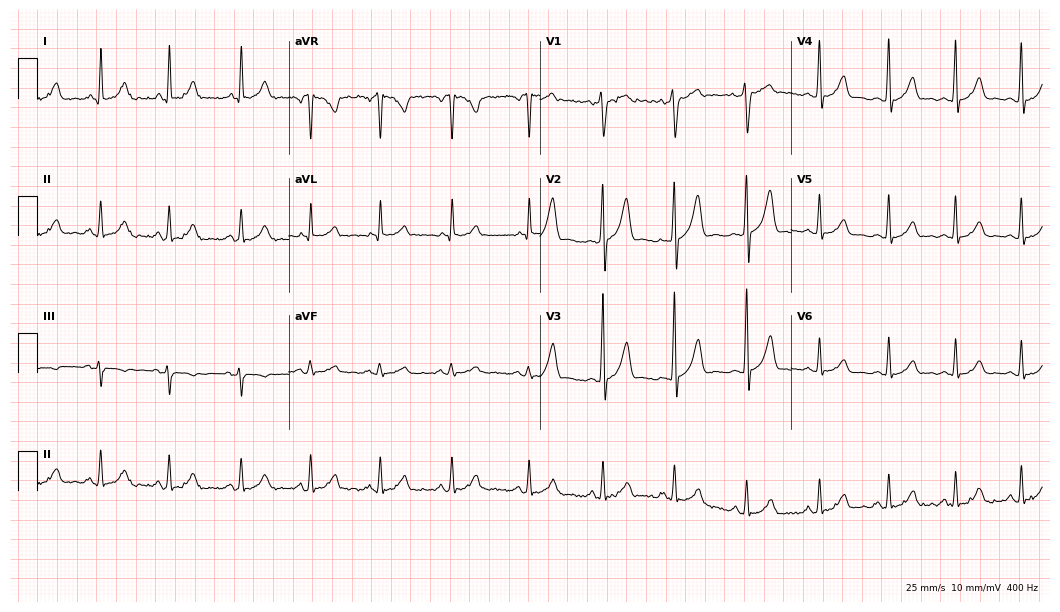
Electrocardiogram, a male, 35 years old. Of the six screened findings (first-degree AV block, right bundle branch block (RBBB), left bundle branch block (LBBB), sinus bradycardia, atrial fibrillation (AF), sinus tachycardia), none is recorded.